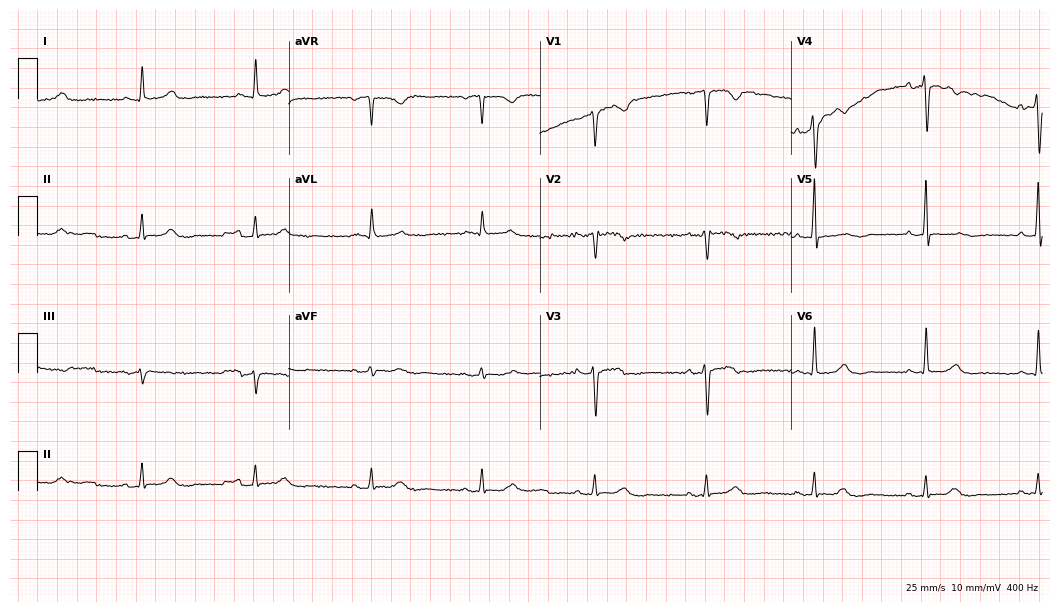
ECG — a male, 71 years old. Screened for six findings — first-degree AV block, right bundle branch block (RBBB), left bundle branch block (LBBB), sinus bradycardia, atrial fibrillation (AF), sinus tachycardia — none is recorded.